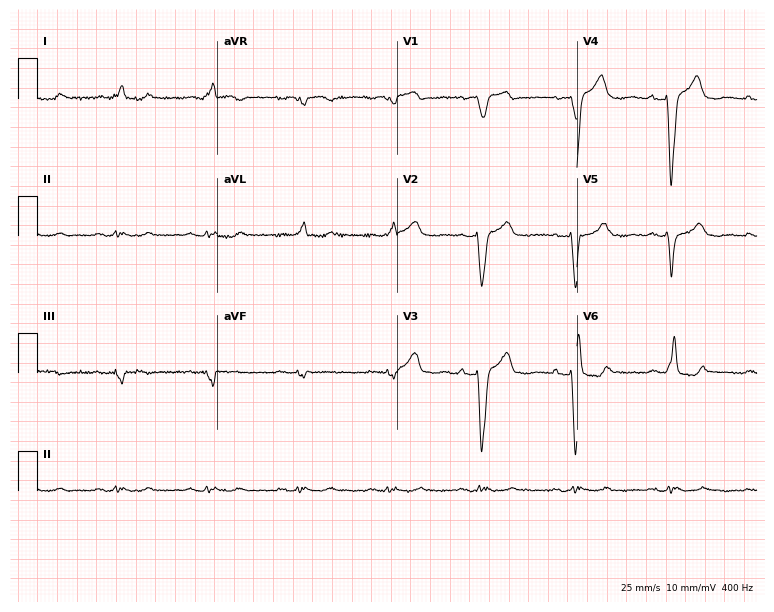
ECG — a female patient, 77 years old. Findings include left bundle branch block.